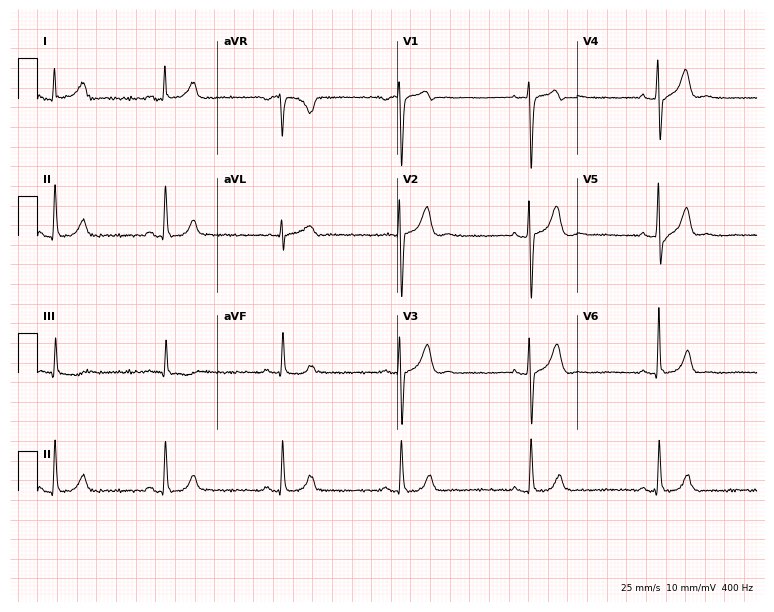
Resting 12-lead electrocardiogram (7.3-second recording at 400 Hz). Patient: a male, 36 years old. None of these six findings is recorded: first-degree AV block, right bundle branch block, left bundle branch block, sinus bradycardia, atrial fibrillation, sinus tachycardia. Findings outside these six are not listed.